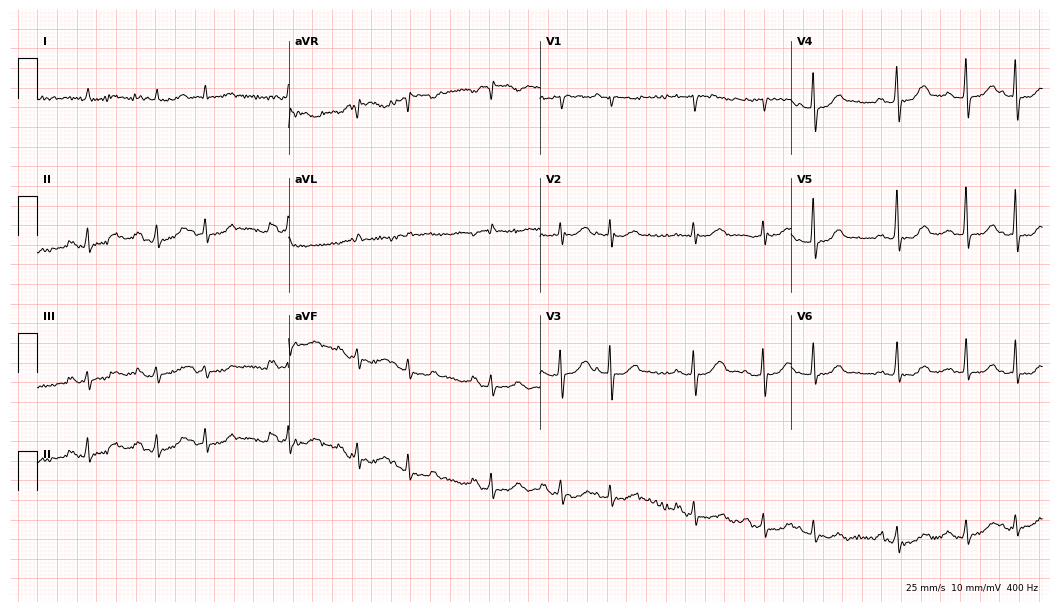
12-lead ECG (10.2-second recording at 400 Hz) from a woman, 80 years old. Screened for six findings — first-degree AV block, right bundle branch block, left bundle branch block, sinus bradycardia, atrial fibrillation, sinus tachycardia — none is recorded. Other findings, if any, are not listed.